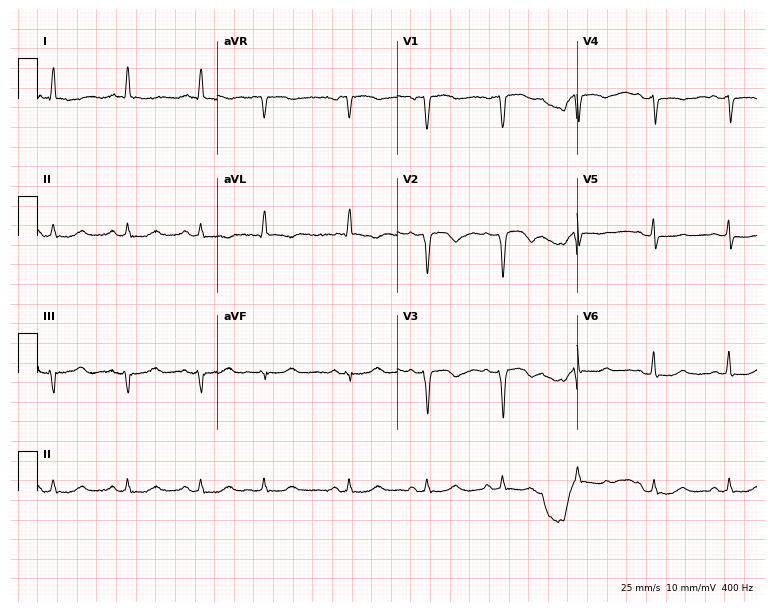
ECG (7.3-second recording at 400 Hz) — a male patient, 76 years old. Screened for six findings — first-degree AV block, right bundle branch block, left bundle branch block, sinus bradycardia, atrial fibrillation, sinus tachycardia — none is recorded. Only these six findings were labelled.